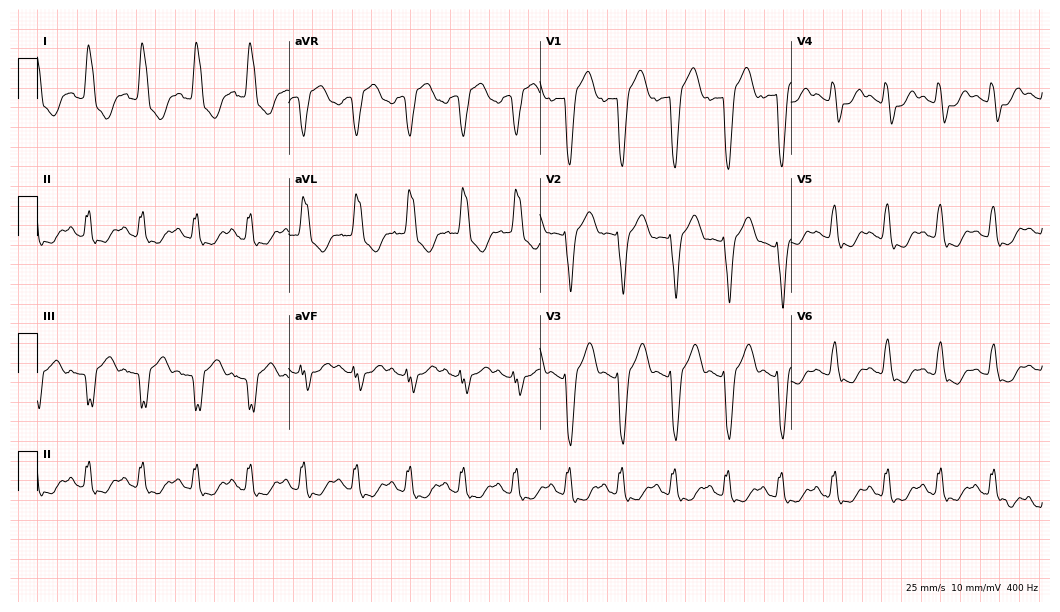
ECG (10.2-second recording at 400 Hz) — a woman, 64 years old. Findings include left bundle branch block, sinus tachycardia (a sinus rate of 100 beats per minute or more).